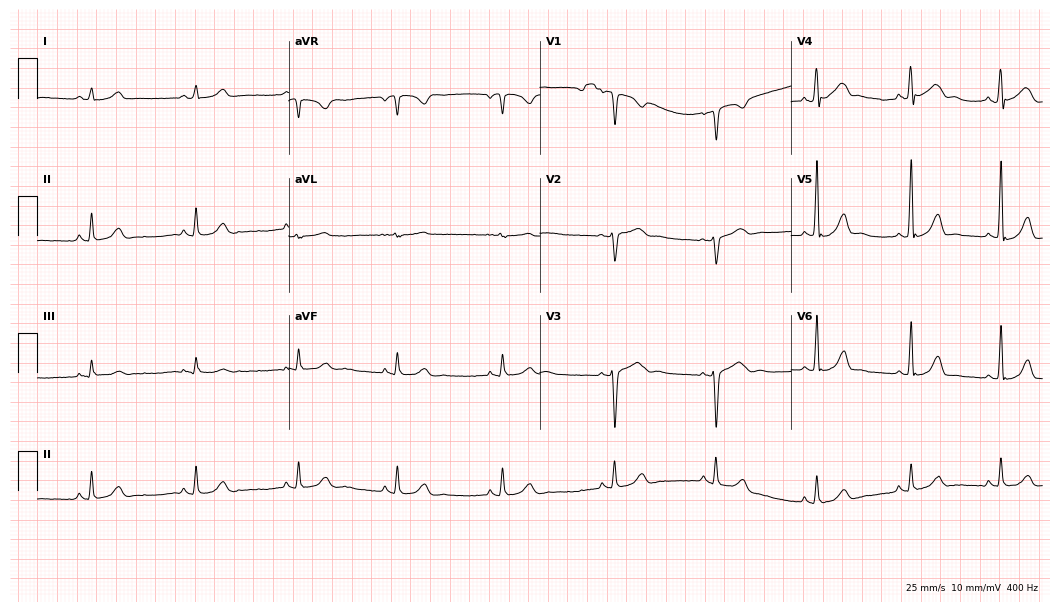
12-lead ECG from a 27-year-old female patient. Recorded interpretation: within normal limits.